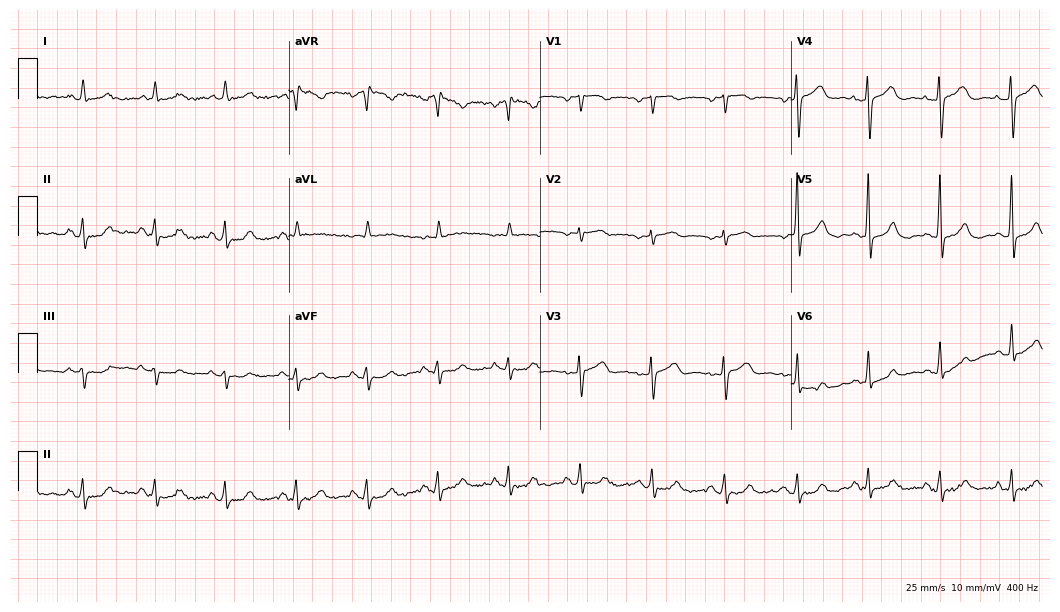
12-lead ECG from a female patient, 77 years old (10.2-second recording at 400 Hz). Recorded interpretation: within normal limits.